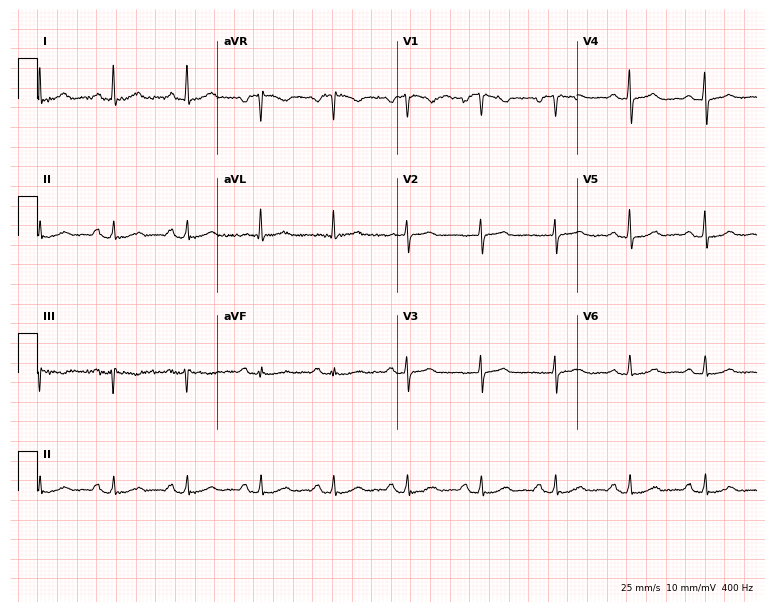
12-lead ECG (7.3-second recording at 400 Hz) from a male, 66 years old. Screened for six findings — first-degree AV block, right bundle branch block (RBBB), left bundle branch block (LBBB), sinus bradycardia, atrial fibrillation (AF), sinus tachycardia — none is recorded. Findings outside these six are not listed.